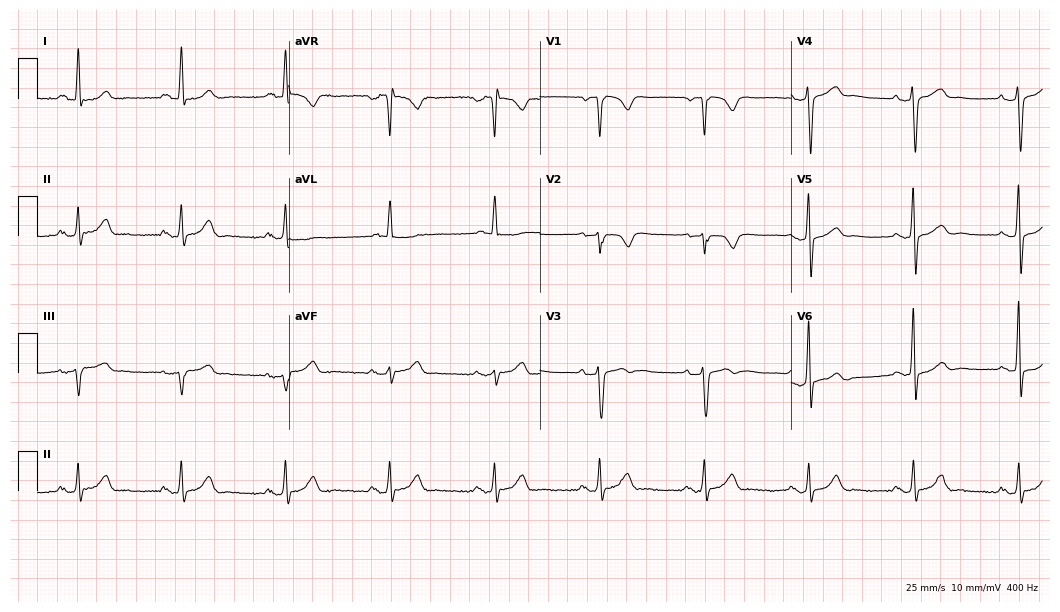
12-lead ECG (10.2-second recording at 400 Hz) from a 59-year-old man. Screened for six findings — first-degree AV block, right bundle branch block, left bundle branch block, sinus bradycardia, atrial fibrillation, sinus tachycardia — none is recorded. Only these six findings were labelled.